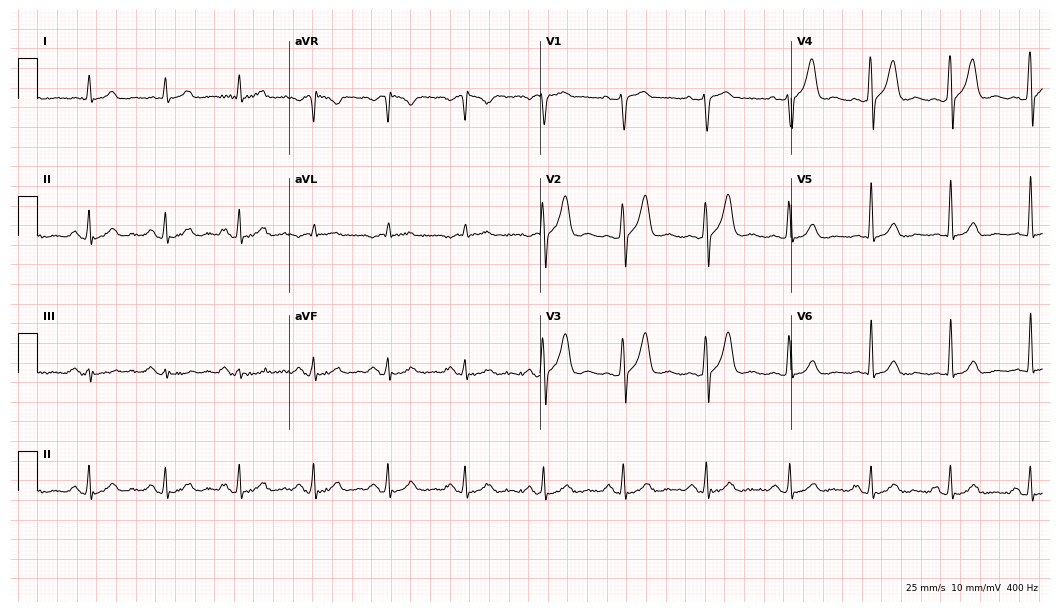
12-lead ECG (10.2-second recording at 400 Hz) from a 40-year-old male patient. Labelled as a normal ECG.